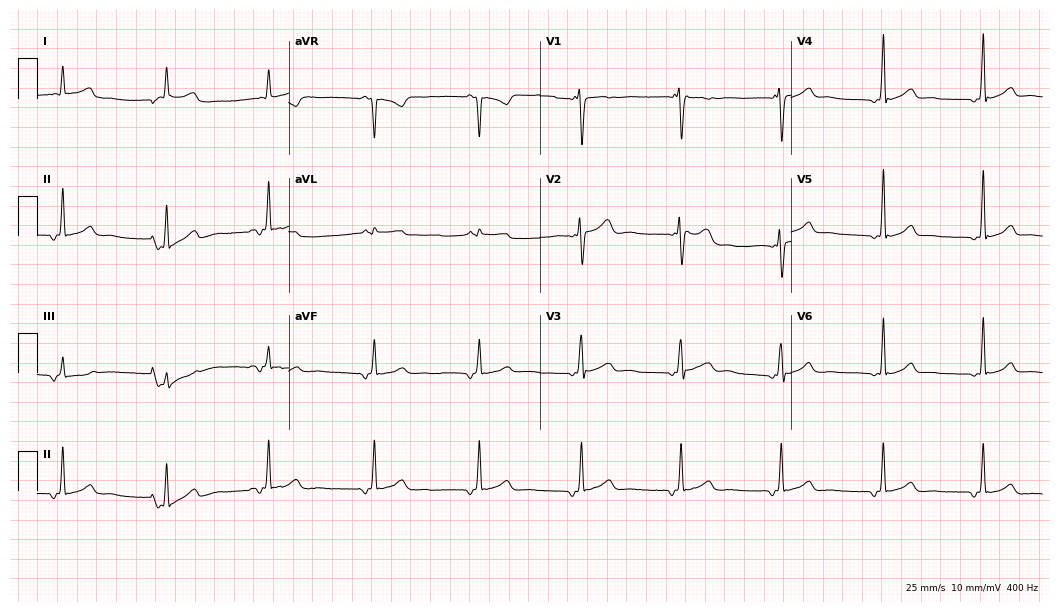
12-lead ECG from a 38-year-old female (10.2-second recording at 400 Hz). No first-degree AV block, right bundle branch block, left bundle branch block, sinus bradycardia, atrial fibrillation or sinus tachycardia recorded for this tracing.